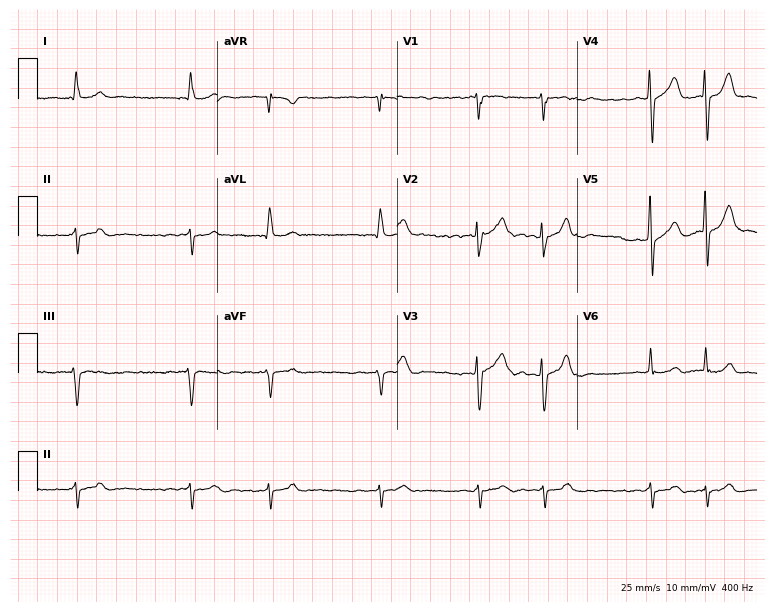
12-lead ECG from an 80-year-old male patient (7.3-second recording at 400 Hz). Shows atrial fibrillation.